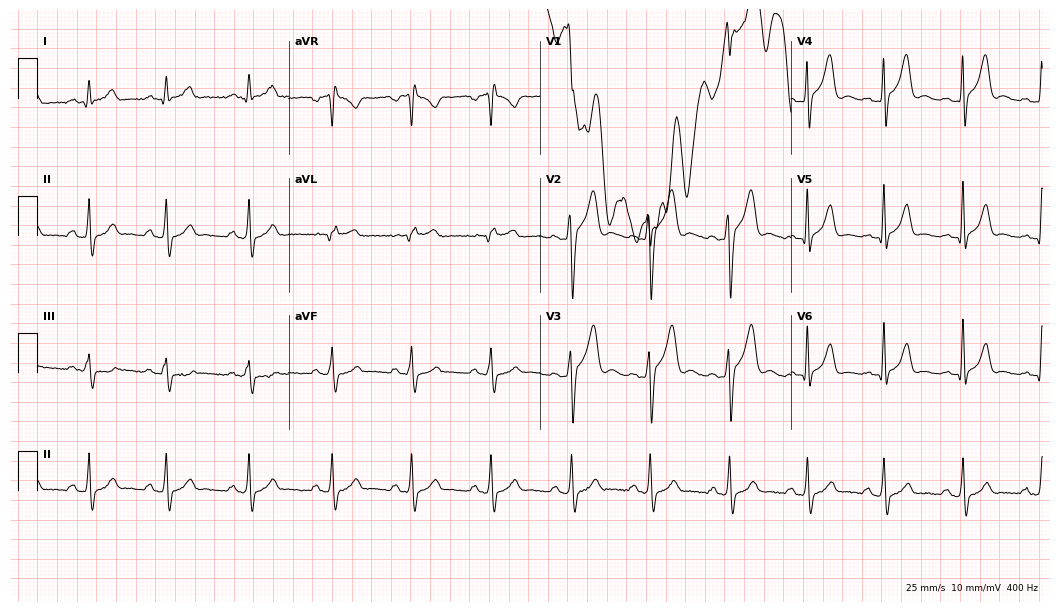
12-lead ECG from a 24-year-old man (10.2-second recording at 400 Hz). No first-degree AV block, right bundle branch block, left bundle branch block, sinus bradycardia, atrial fibrillation or sinus tachycardia recorded for this tracing. Other findings, if any, are not listed.